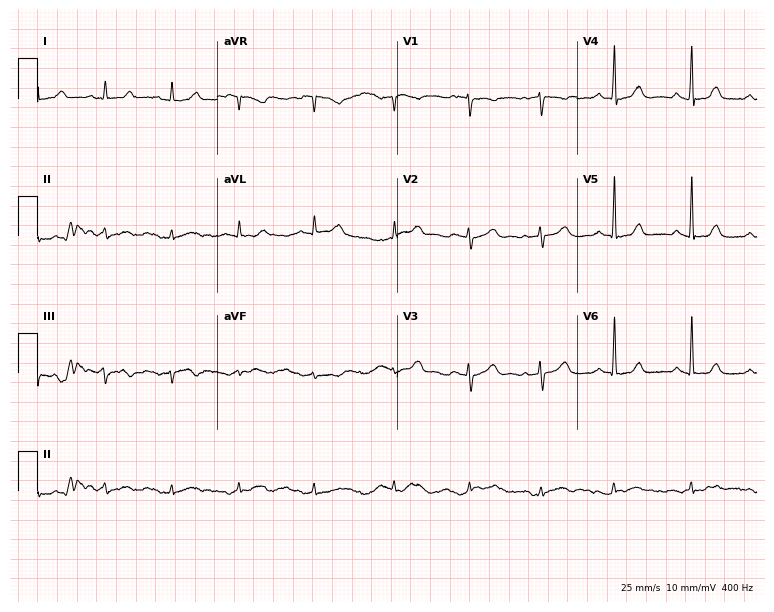
12-lead ECG from a female, 23 years old. No first-degree AV block, right bundle branch block, left bundle branch block, sinus bradycardia, atrial fibrillation or sinus tachycardia recorded for this tracing. Findings outside these six are not listed.